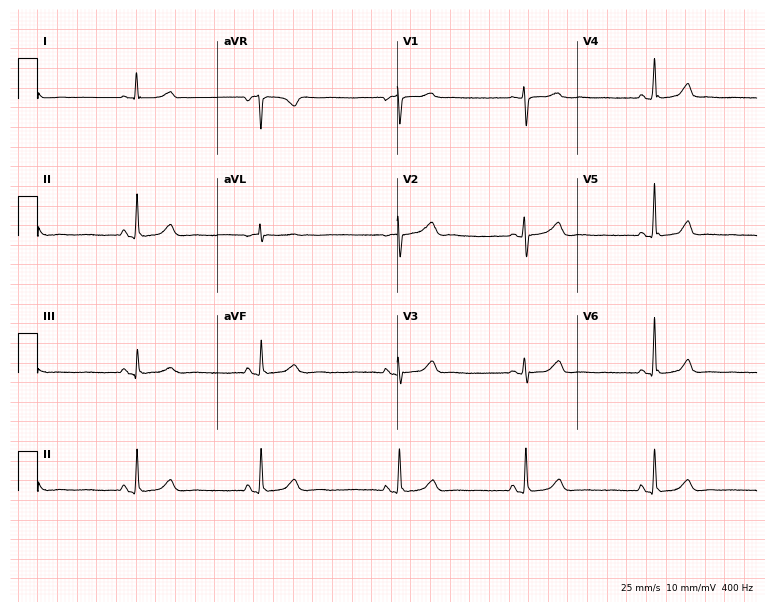
ECG — a female patient, 50 years old. Findings include sinus bradycardia (a sinus rate of 50 beats per minute or less).